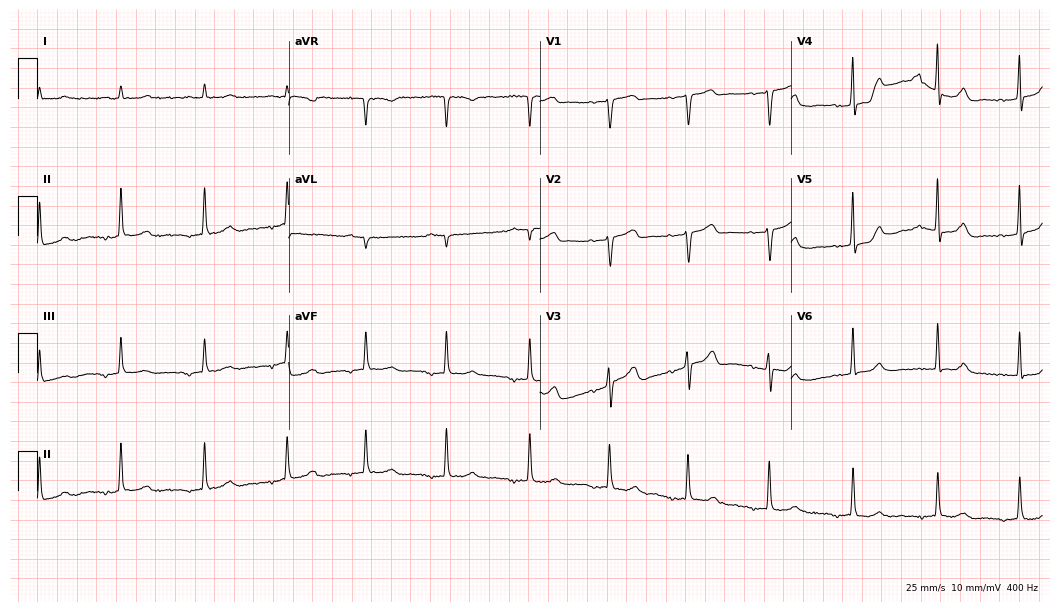
12-lead ECG (10.2-second recording at 400 Hz) from an 86-year-old woman. Screened for six findings — first-degree AV block, right bundle branch block, left bundle branch block, sinus bradycardia, atrial fibrillation, sinus tachycardia — none is recorded.